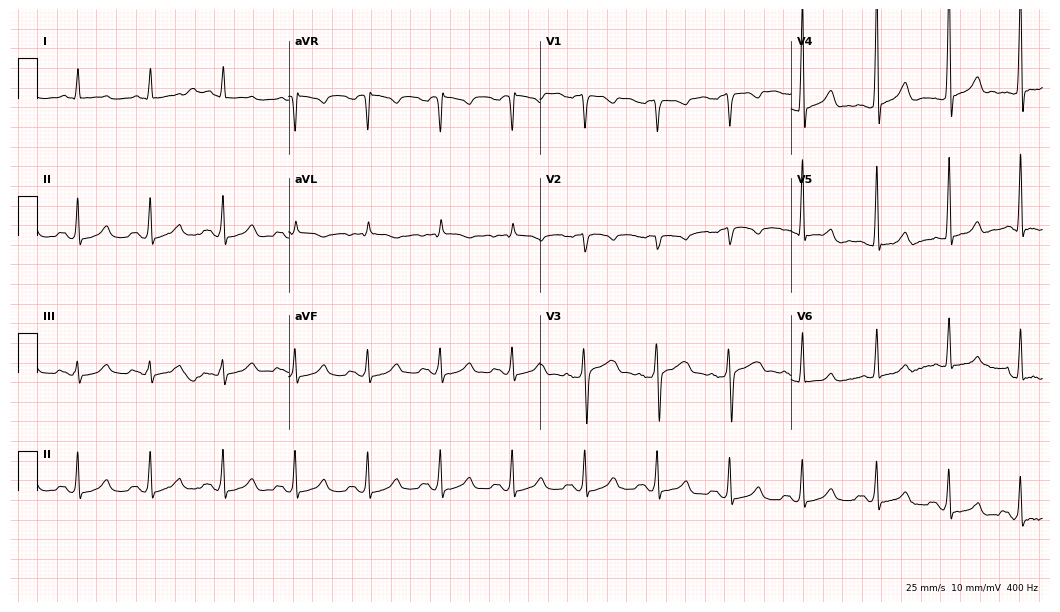
12-lead ECG from a 68-year-old male patient. Screened for six findings — first-degree AV block, right bundle branch block (RBBB), left bundle branch block (LBBB), sinus bradycardia, atrial fibrillation (AF), sinus tachycardia — none is recorded. Only these six findings were labelled.